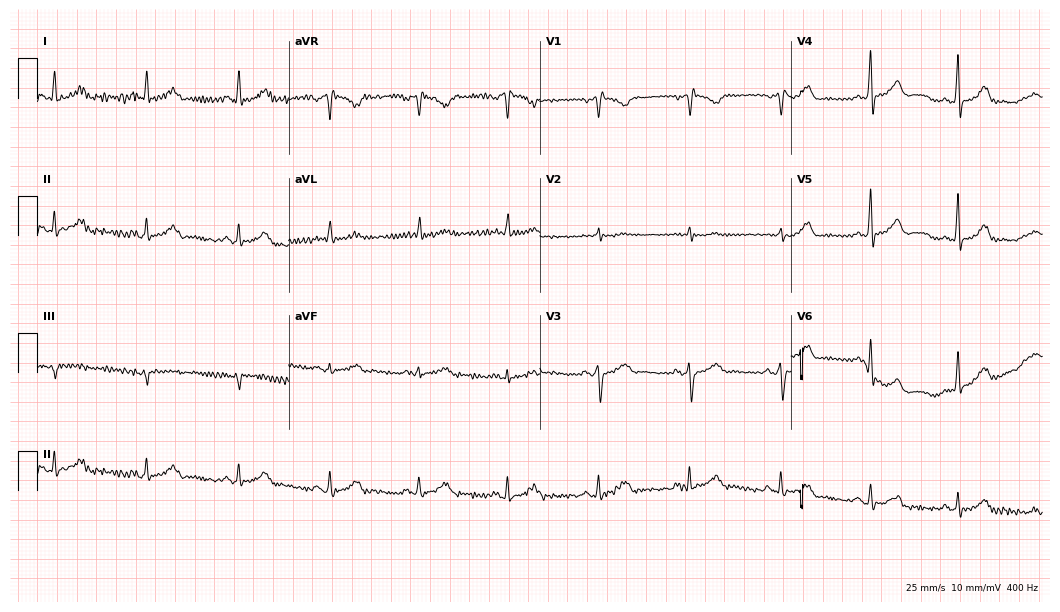
12-lead ECG from a male, 60 years old. Labelled as a normal ECG.